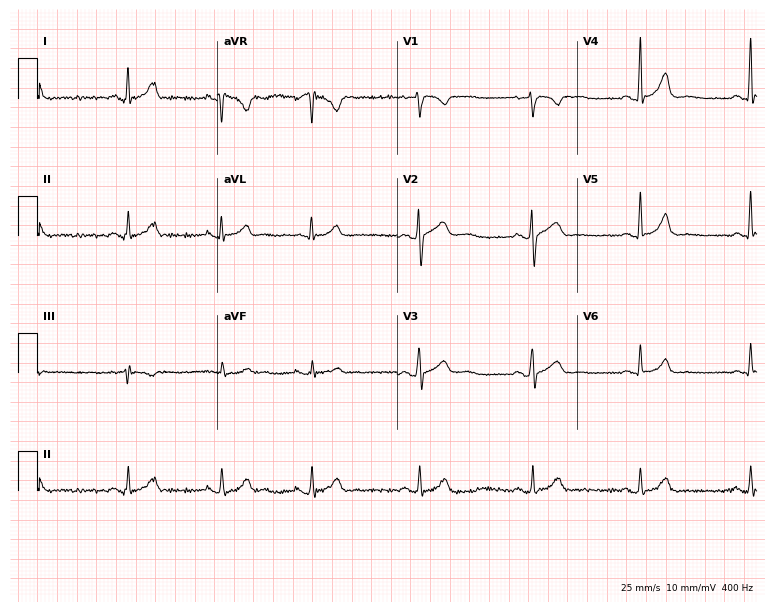
Standard 12-lead ECG recorded from a 34-year-old female patient. None of these six findings is recorded: first-degree AV block, right bundle branch block, left bundle branch block, sinus bradycardia, atrial fibrillation, sinus tachycardia.